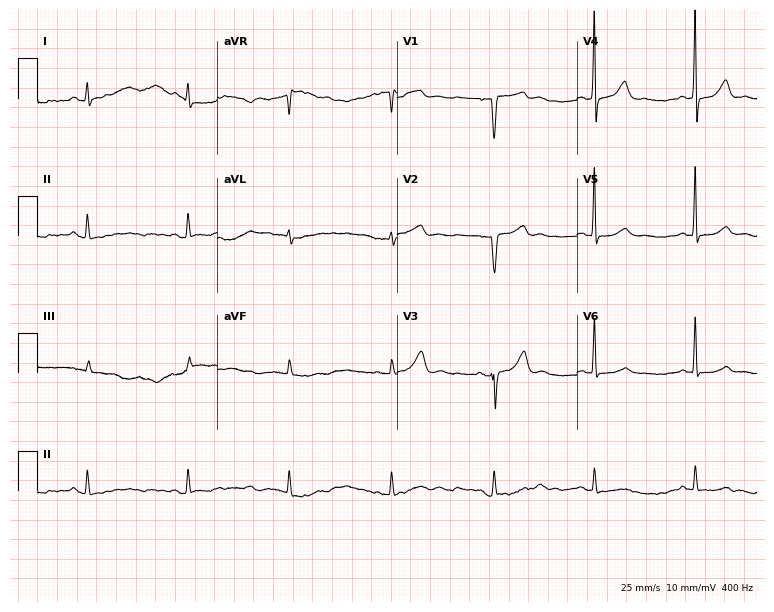
Standard 12-lead ECG recorded from a 67-year-old female patient. None of these six findings is recorded: first-degree AV block, right bundle branch block (RBBB), left bundle branch block (LBBB), sinus bradycardia, atrial fibrillation (AF), sinus tachycardia. Only these six findings were labelled.